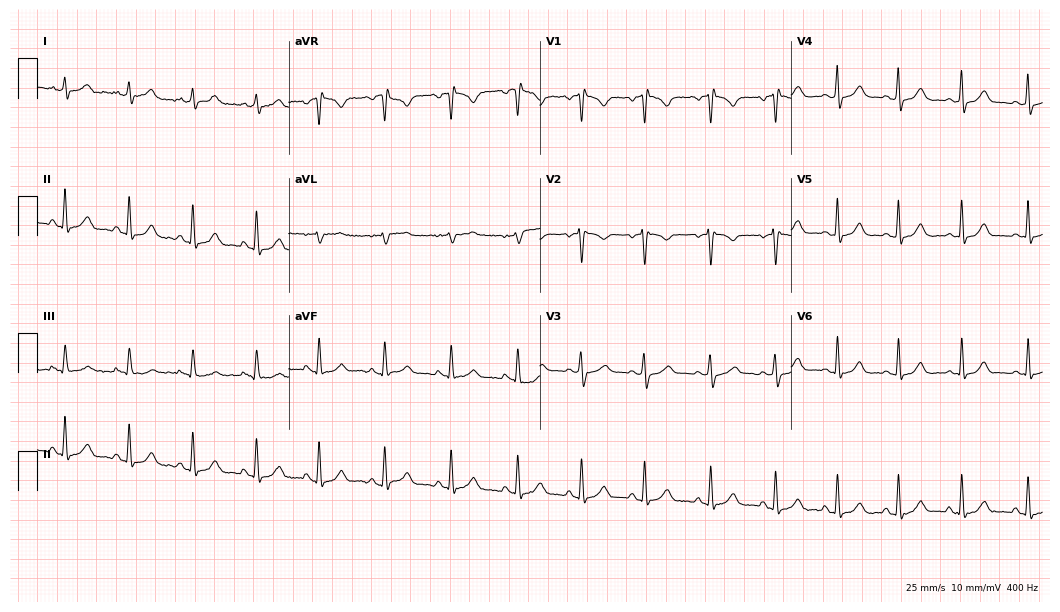
12-lead ECG from a woman, 25 years old. No first-degree AV block, right bundle branch block, left bundle branch block, sinus bradycardia, atrial fibrillation or sinus tachycardia recorded for this tracing.